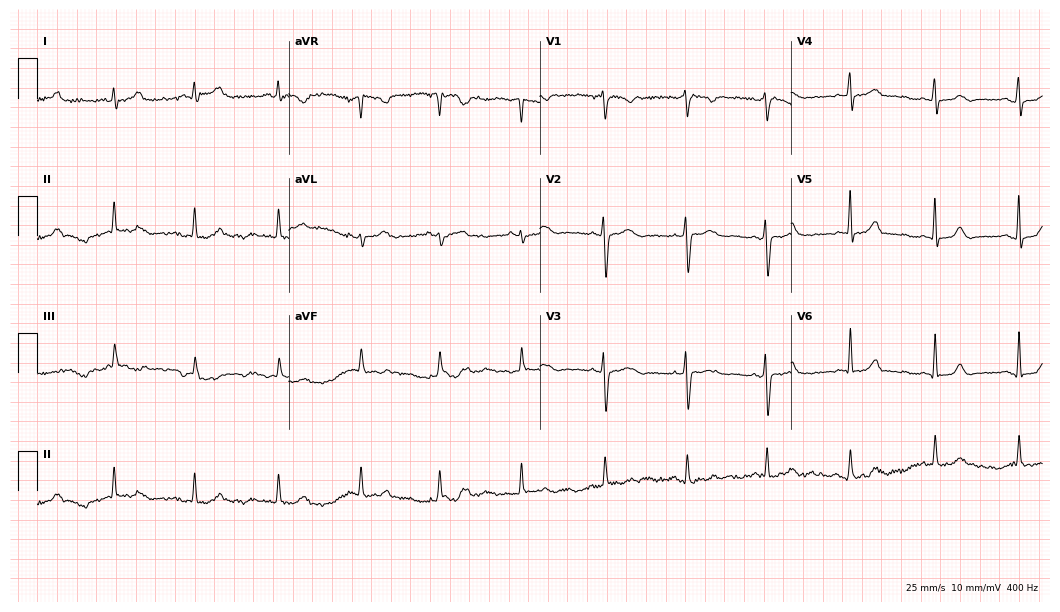
ECG — a female, 44 years old. Labelled as a normal ECG.